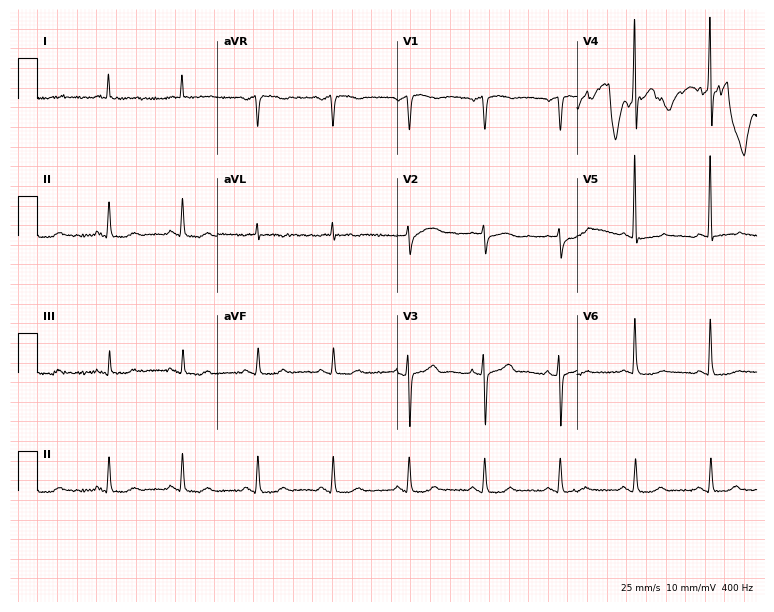
Electrocardiogram (7.3-second recording at 400 Hz), a woman, 72 years old. Of the six screened findings (first-degree AV block, right bundle branch block, left bundle branch block, sinus bradycardia, atrial fibrillation, sinus tachycardia), none is recorded. Findings outside these six are not listed.